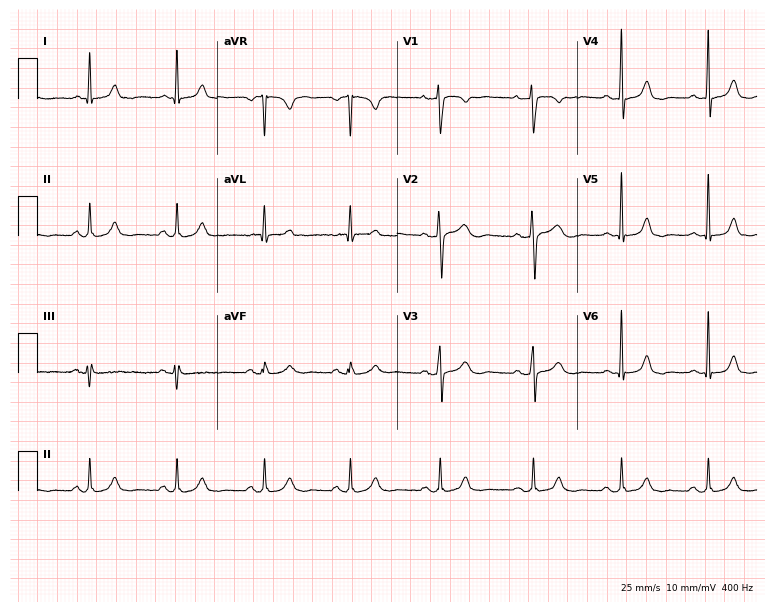
ECG — a 55-year-old female patient. Labelled as a normal ECG.